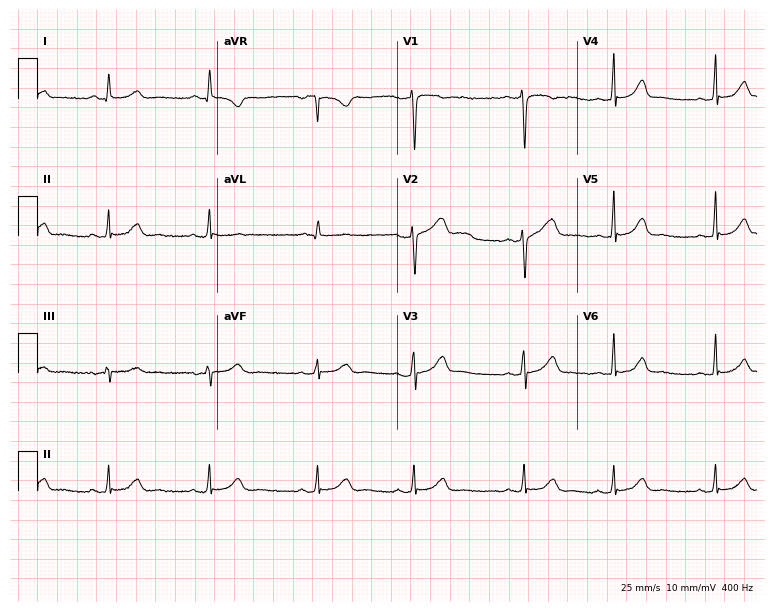
12-lead ECG (7.3-second recording at 400 Hz) from an 18-year-old female. Labelled as a normal ECG.